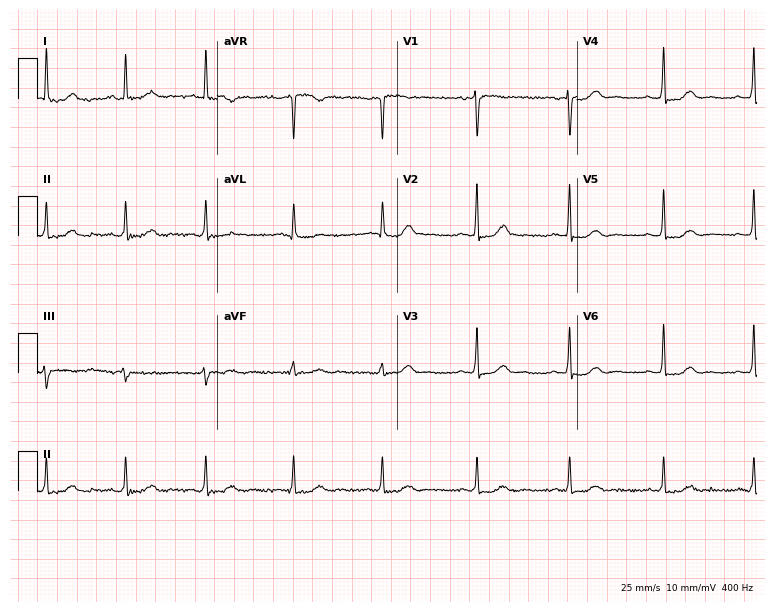
Electrocardiogram, a female patient, 63 years old. Overall reading on record: normal ECG.